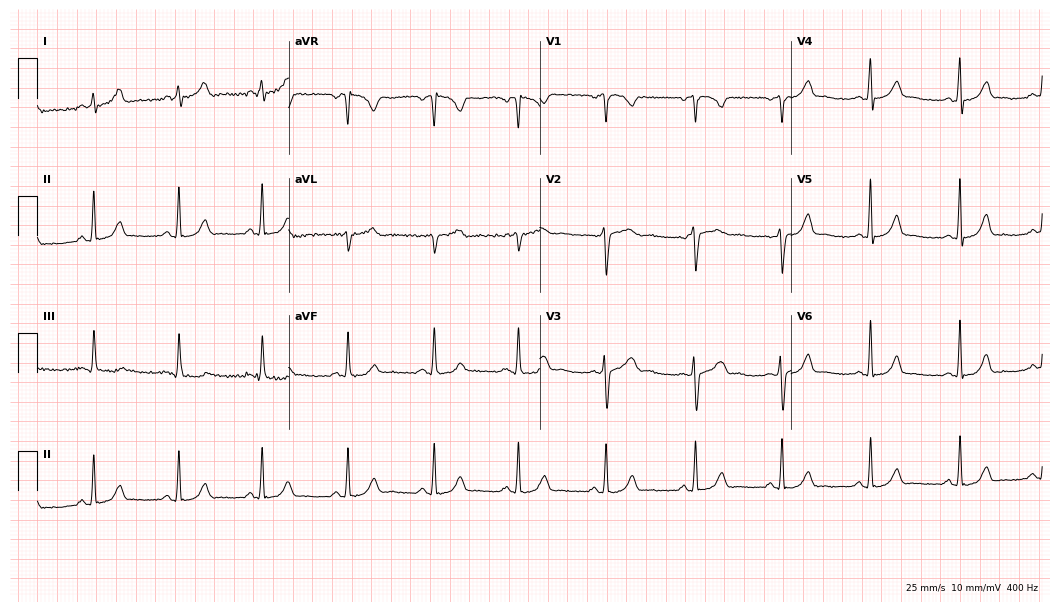
Standard 12-lead ECG recorded from a 27-year-old female patient (10.2-second recording at 400 Hz). Read as a normal ECG.